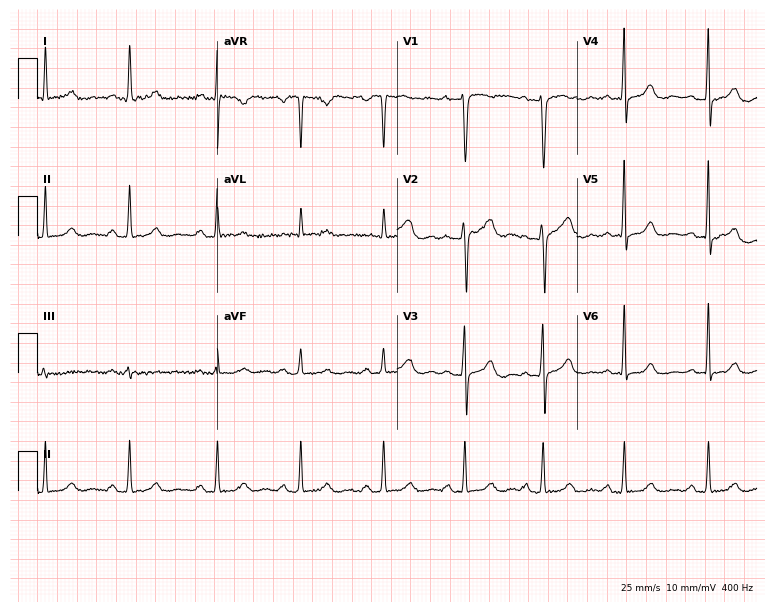
12-lead ECG from a 34-year-old female patient. Labelled as a normal ECG.